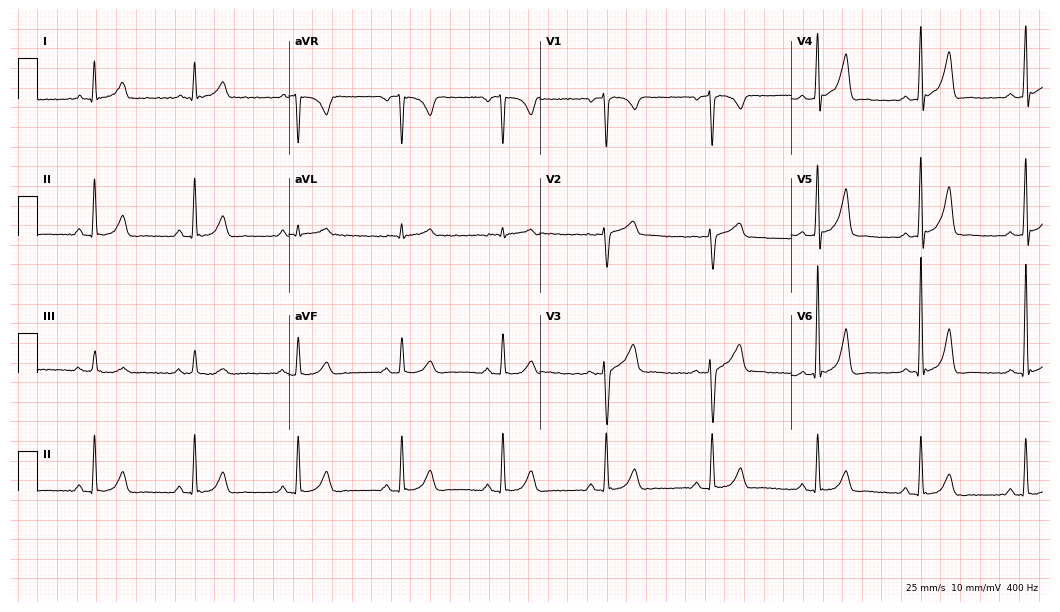
Electrocardiogram (10.2-second recording at 400 Hz), a 53-year-old male patient. Overall reading on record: normal ECG.